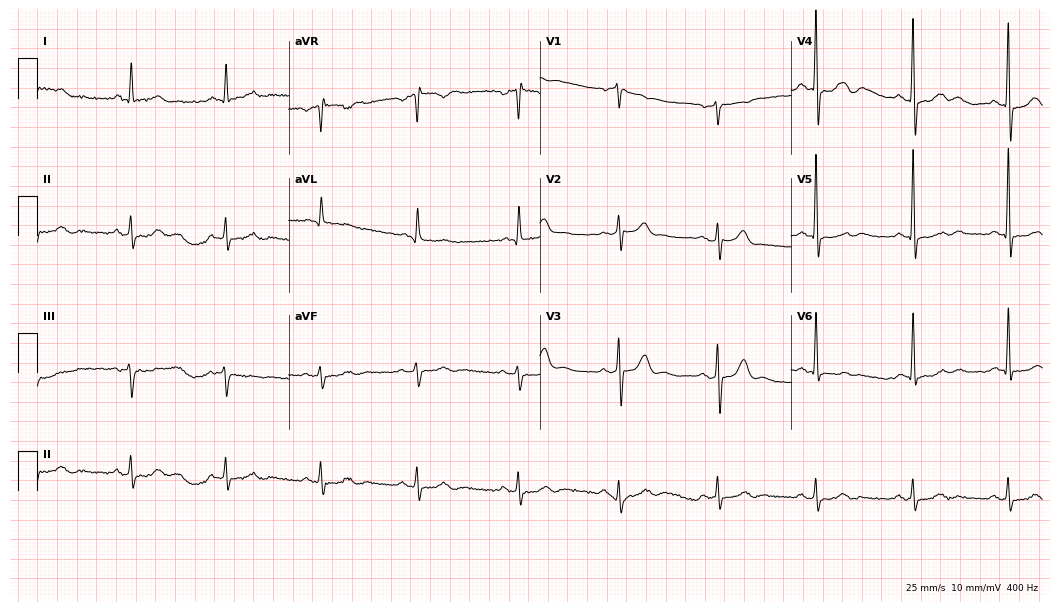
Resting 12-lead electrocardiogram. Patient: a 38-year-old male. None of these six findings is recorded: first-degree AV block, right bundle branch block, left bundle branch block, sinus bradycardia, atrial fibrillation, sinus tachycardia.